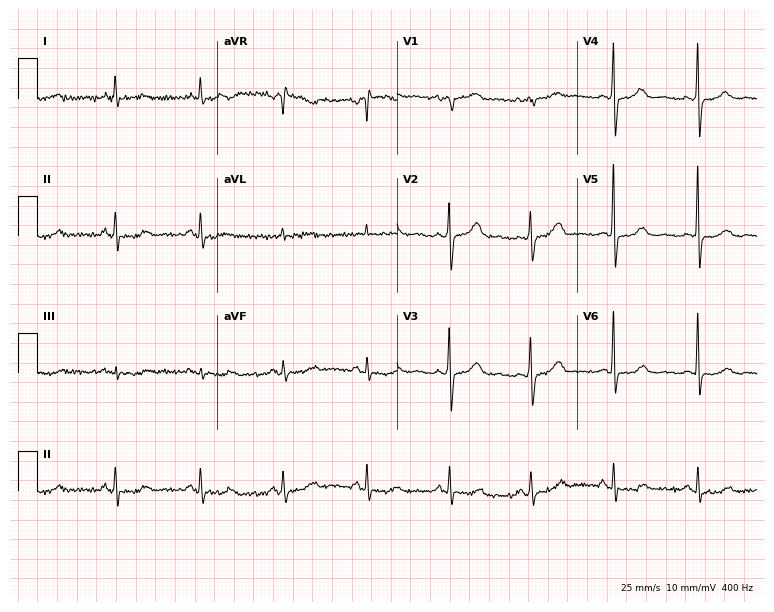
ECG (7.3-second recording at 400 Hz) — a 57-year-old woman. Labelled as a normal ECG.